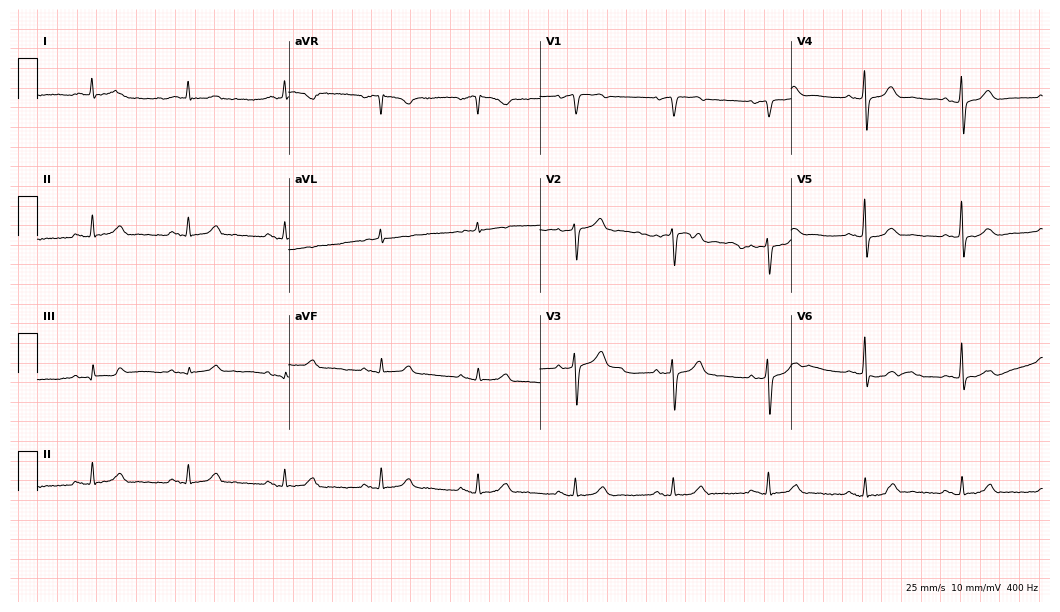
ECG (10.2-second recording at 400 Hz) — an 81-year-old male patient. Labelled as a normal ECG.